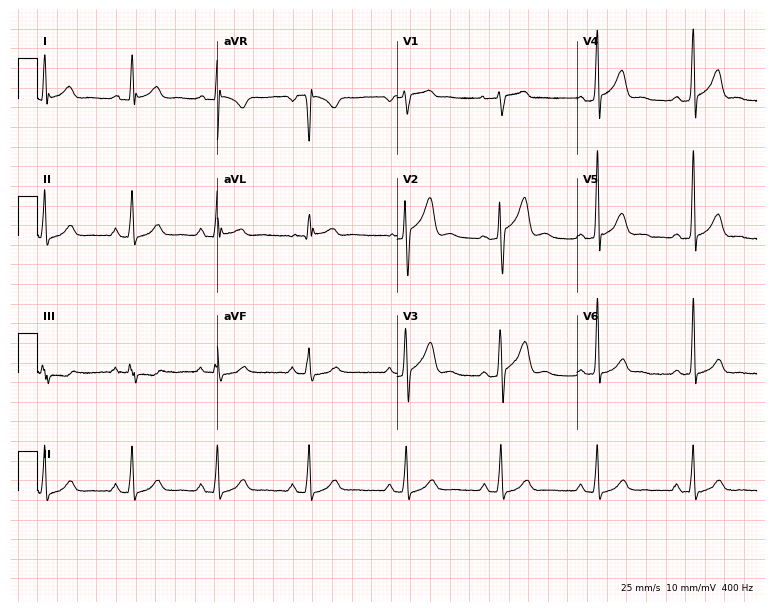
12-lead ECG from a 33-year-old male patient. Recorded interpretation: within normal limits.